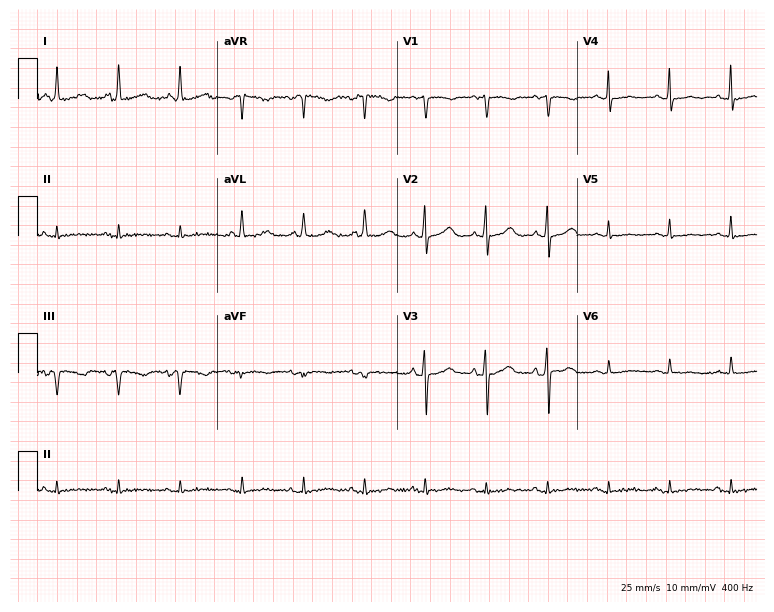
Electrocardiogram (7.3-second recording at 400 Hz), a female patient, 68 years old. Of the six screened findings (first-degree AV block, right bundle branch block, left bundle branch block, sinus bradycardia, atrial fibrillation, sinus tachycardia), none is recorded.